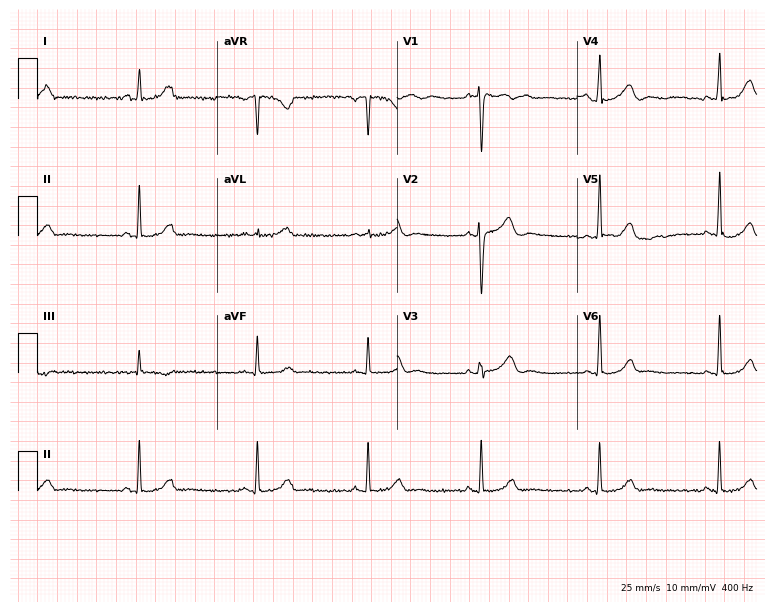
Standard 12-lead ECG recorded from a female, 32 years old. None of these six findings is recorded: first-degree AV block, right bundle branch block, left bundle branch block, sinus bradycardia, atrial fibrillation, sinus tachycardia.